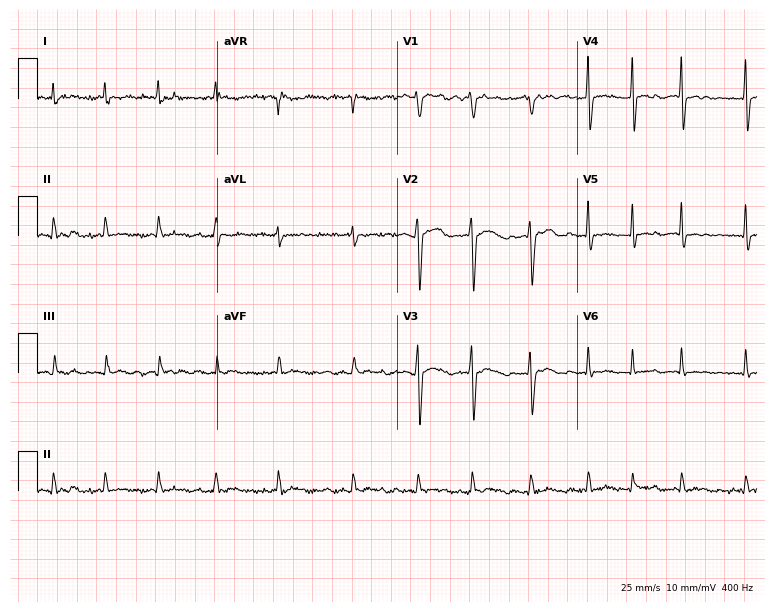
ECG (7.3-second recording at 400 Hz) — a female, 55 years old. Findings include atrial fibrillation.